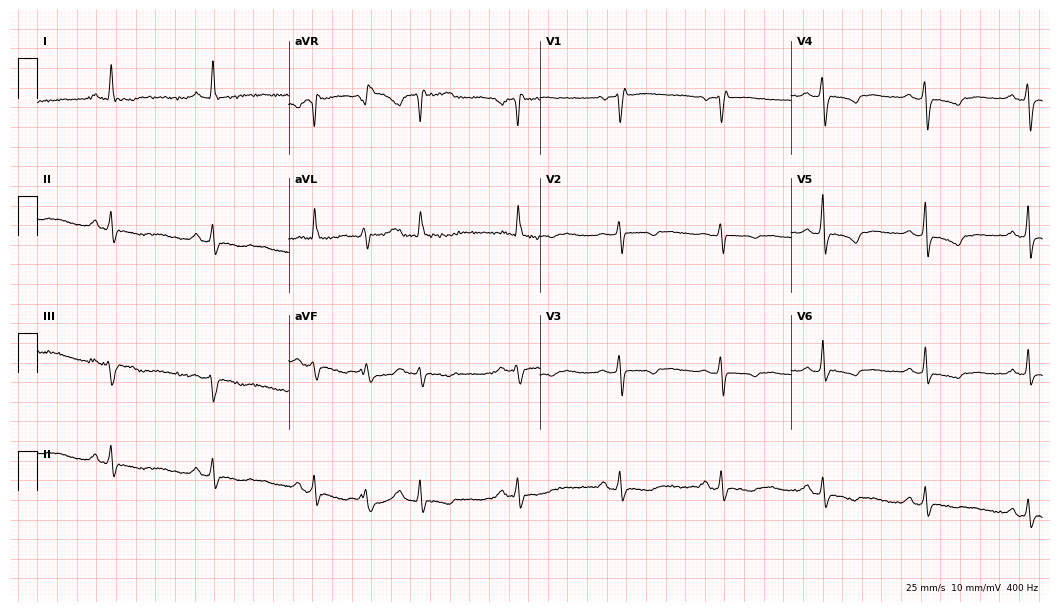
Standard 12-lead ECG recorded from a woman, 66 years old (10.2-second recording at 400 Hz). None of these six findings is recorded: first-degree AV block, right bundle branch block (RBBB), left bundle branch block (LBBB), sinus bradycardia, atrial fibrillation (AF), sinus tachycardia. Findings outside these six are not listed.